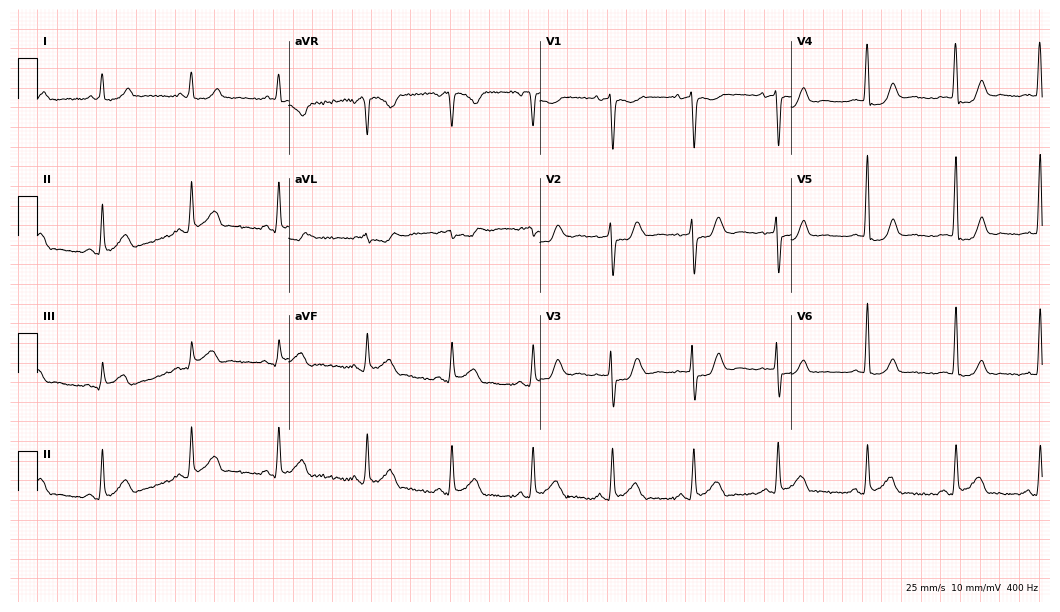
Standard 12-lead ECG recorded from a man, 56 years old (10.2-second recording at 400 Hz). Read as a normal ECG.